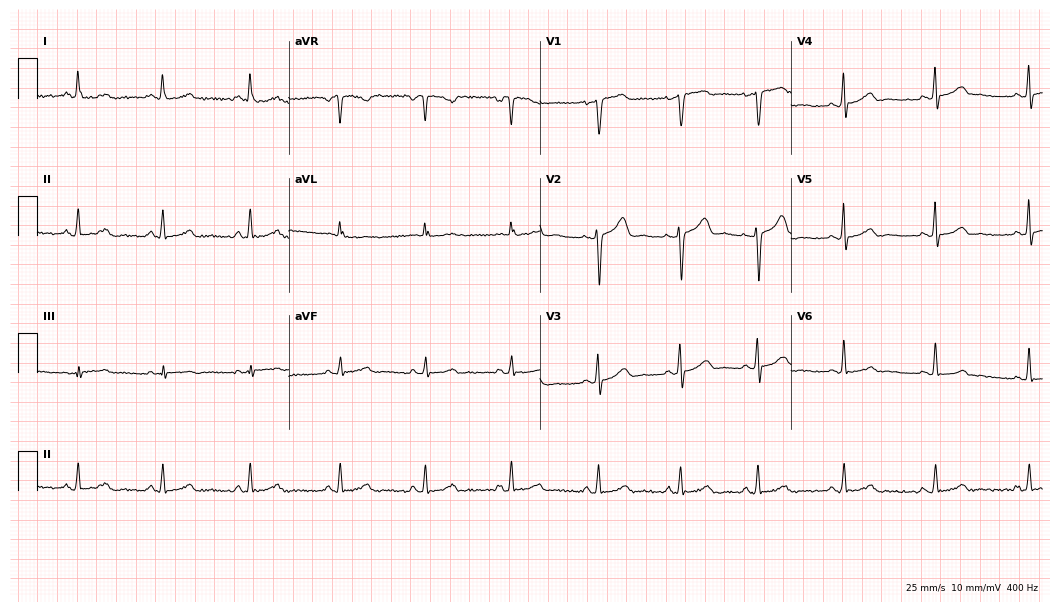
12-lead ECG from a female patient, 36 years old (10.2-second recording at 400 Hz). Recorded interpretation: within normal limits.